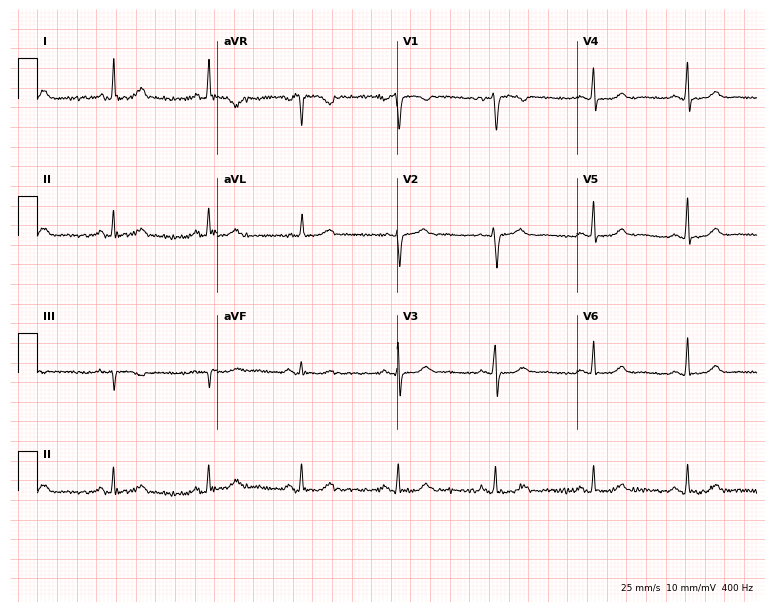
12-lead ECG (7.3-second recording at 400 Hz) from a female patient, 66 years old. Labelled as a normal ECG.